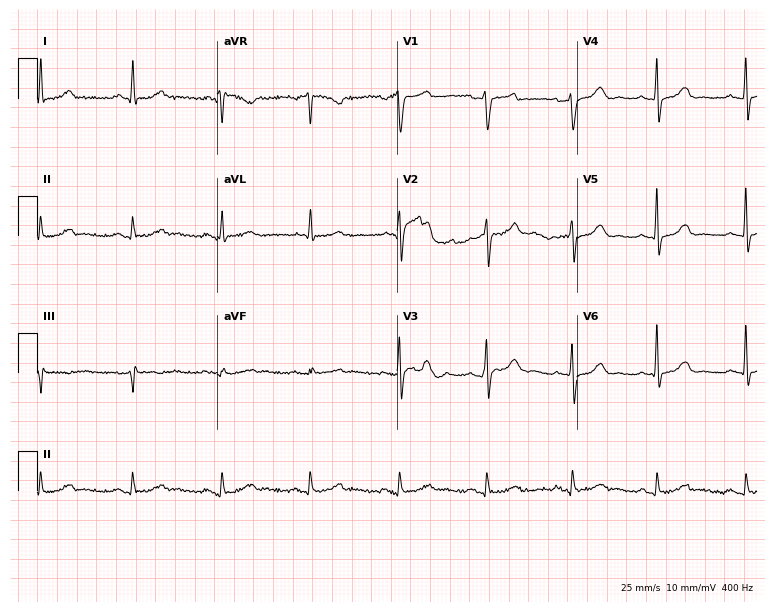
Electrocardiogram (7.3-second recording at 400 Hz), a male patient, 73 years old. Of the six screened findings (first-degree AV block, right bundle branch block, left bundle branch block, sinus bradycardia, atrial fibrillation, sinus tachycardia), none is recorded.